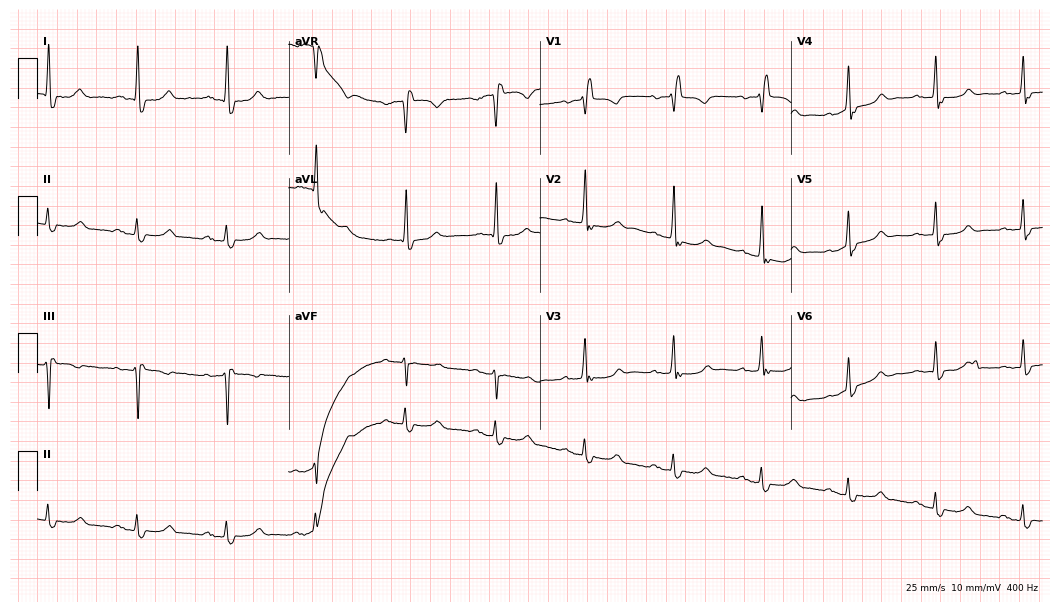
Resting 12-lead electrocardiogram (10.2-second recording at 400 Hz). Patient: a female, 80 years old. The tracing shows first-degree AV block, right bundle branch block (RBBB).